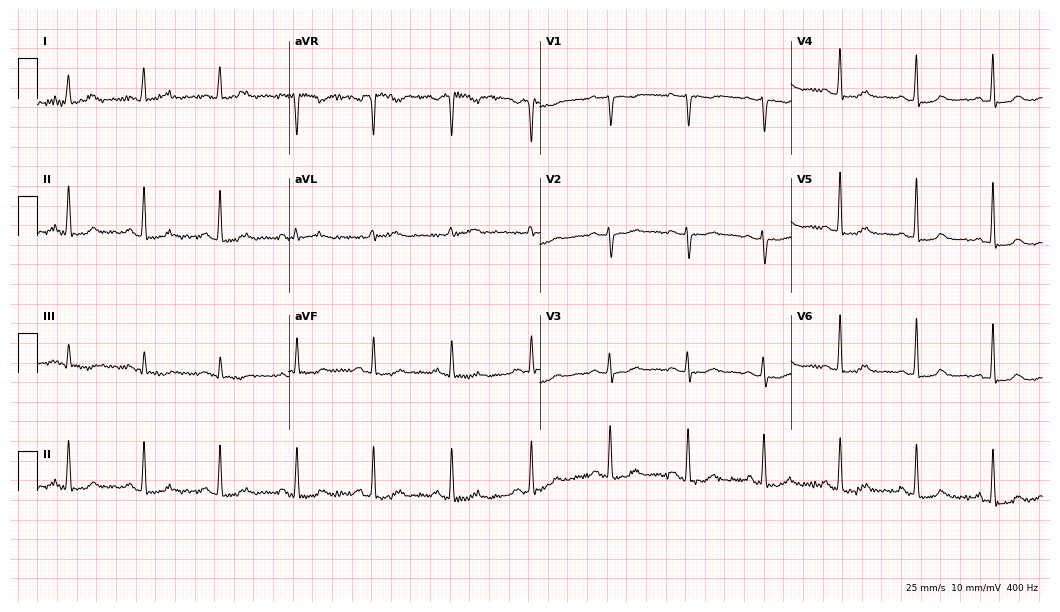
12-lead ECG (10.2-second recording at 400 Hz) from a female, 58 years old. Screened for six findings — first-degree AV block, right bundle branch block, left bundle branch block, sinus bradycardia, atrial fibrillation, sinus tachycardia — none is recorded. Findings outside these six are not listed.